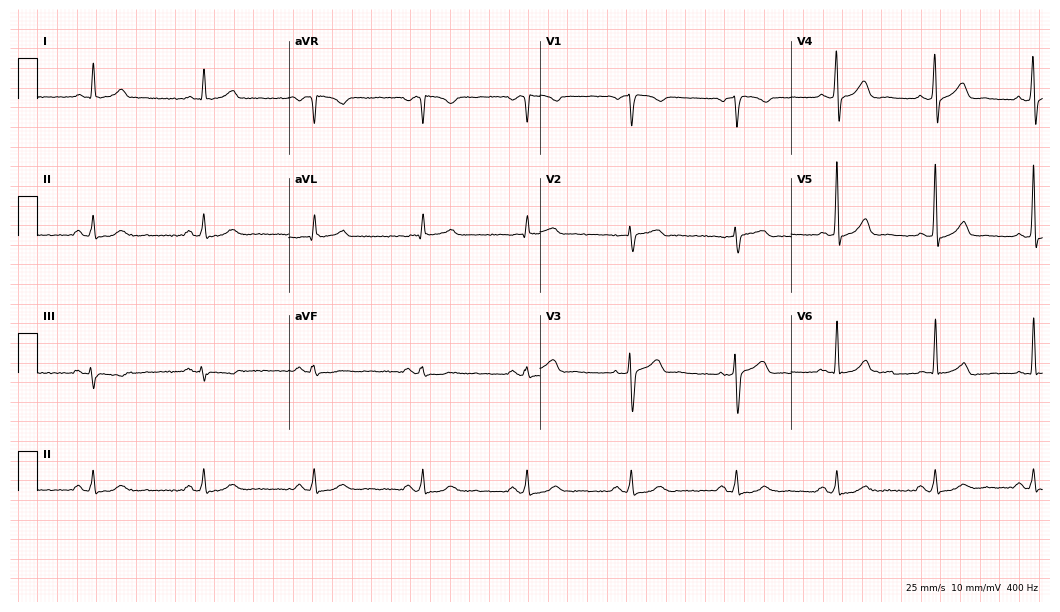
Resting 12-lead electrocardiogram. Patient: a 54-year-old male. Read as a normal ECG.